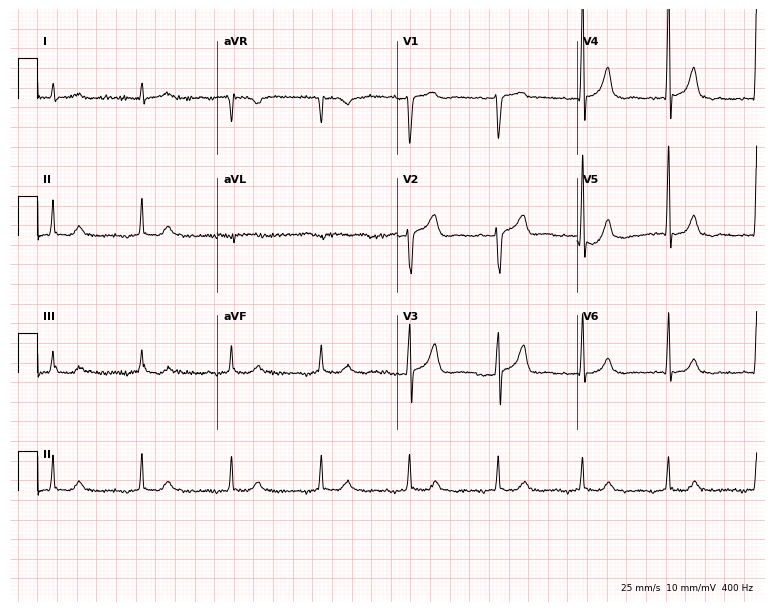
12-lead ECG from a female, 74 years old. No first-degree AV block, right bundle branch block, left bundle branch block, sinus bradycardia, atrial fibrillation or sinus tachycardia recorded for this tracing. Only these six findings were labelled.